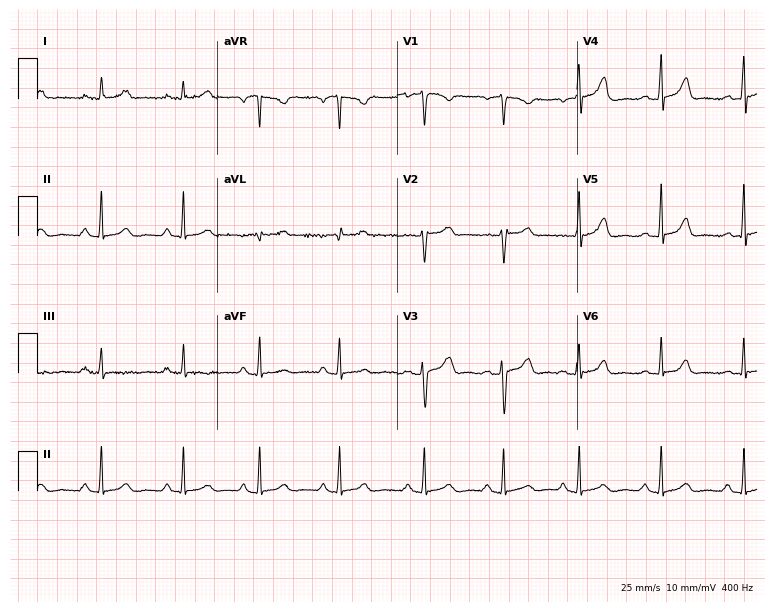
ECG (7.3-second recording at 400 Hz) — a female, 30 years old. Screened for six findings — first-degree AV block, right bundle branch block, left bundle branch block, sinus bradycardia, atrial fibrillation, sinus tachycardia — none is recorded. Other findings, if any, are not listed.